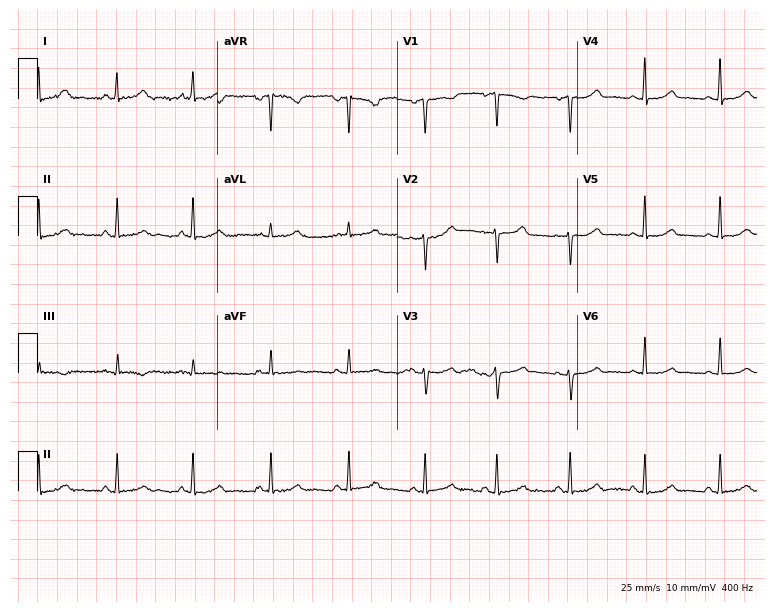
12-lead ECG from a female patient, 43 years old (7.3-second recording at 400 Hz). Recorded interpretation: within normal limits.